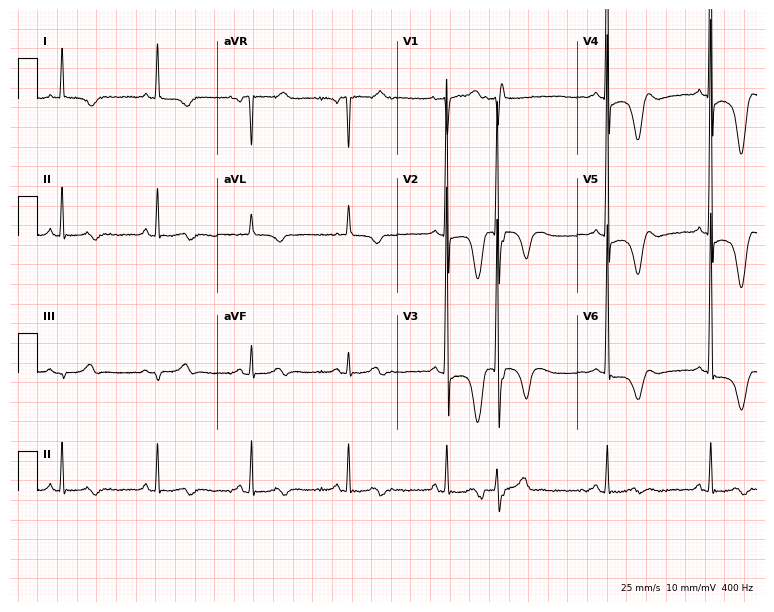
ECG (7.3-second recording at 400 Hz) — a 76-year-old male patient. Screened for six findings — first-degree AV block, right bundle branch block (RBBB), left bundle branch block (LBBB), sinus bradycardia, atrial fibrillation (AF), sinus tachycardia — none is recorded. Findings outside these six are not listed.